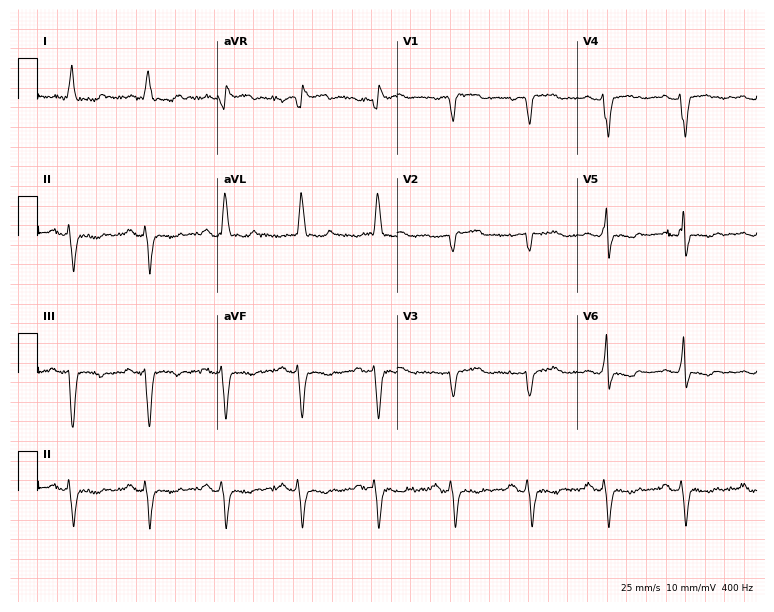
12-lead ECG from a 68-year-old woman. Screened for six findings — first-degree AV block, right bundle branch block (RBBB), left bundle branch block (LBBB), sinus bradycardia, atrial fibrillation (AF), sinus tachycardia — none is recorded.